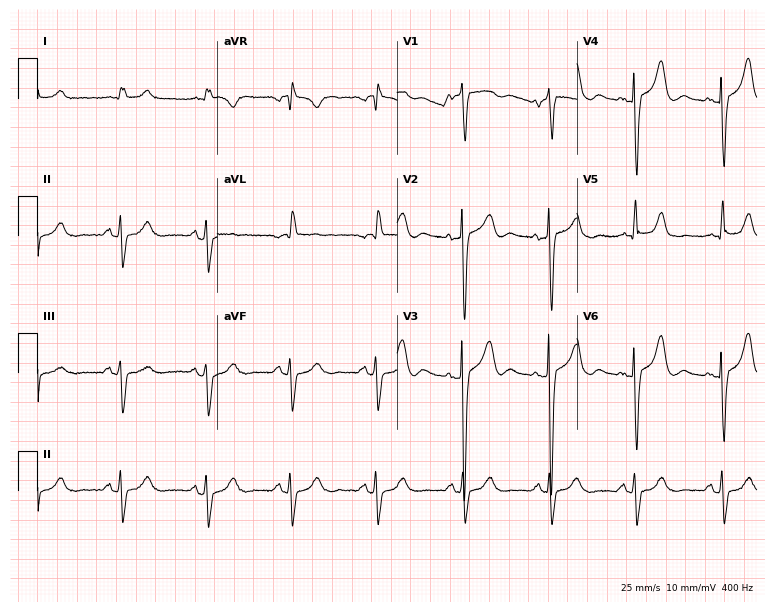
12-lead ECG (7.3-second recording at 400 Hz) from a male patient, 82 years old. Screened for six findings — first-degree AV block, right bundle branch block, left bundle branch block, sinus bradycardia, atrial fibrillation, sinus tachycardia — none is recorded. Only these six findings were labelled.